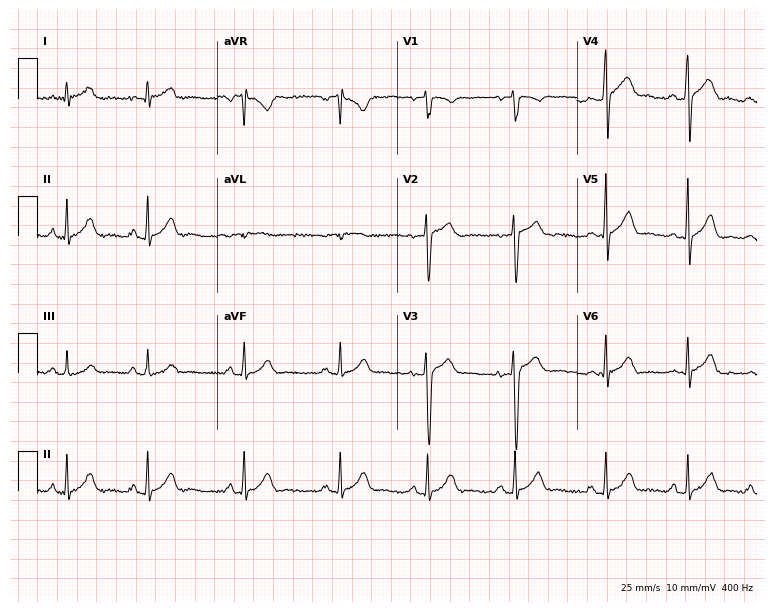
Electrocardiogram (7.3-second recording at 400 Hz), a 25-year-old male patient. Overall reading on record: normal ECG.